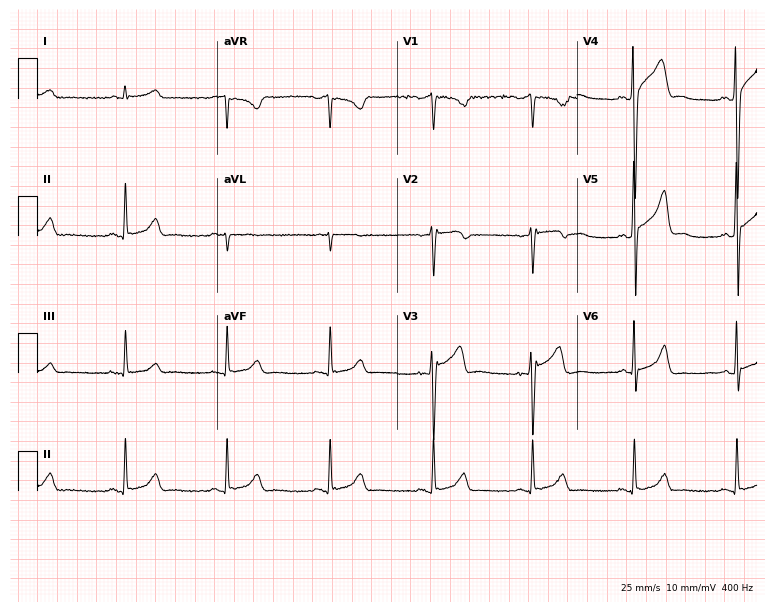
Electrocardiogram, a male patient, 53 years old. Overall reading on record: normal ECG.